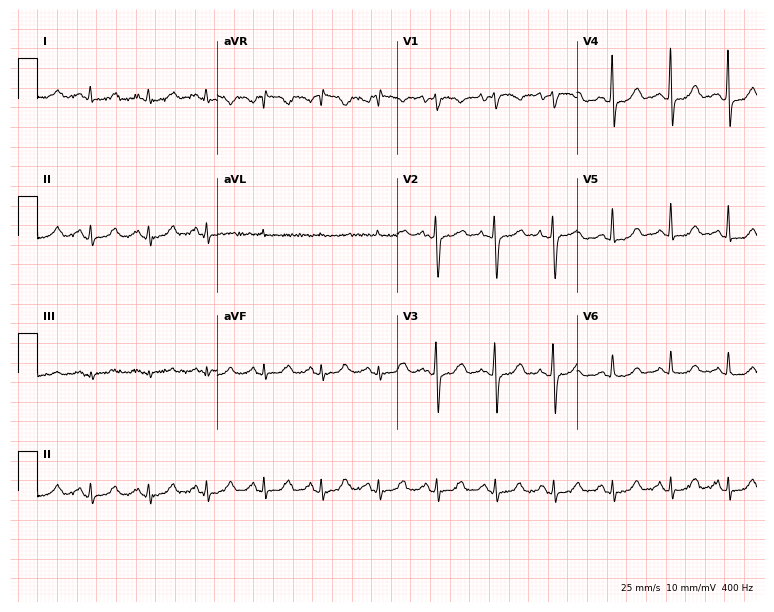
12-lead ECG (7.3-second recording at 400 Hz) from a woman, 67 years old. Labelled as a normal ECG.